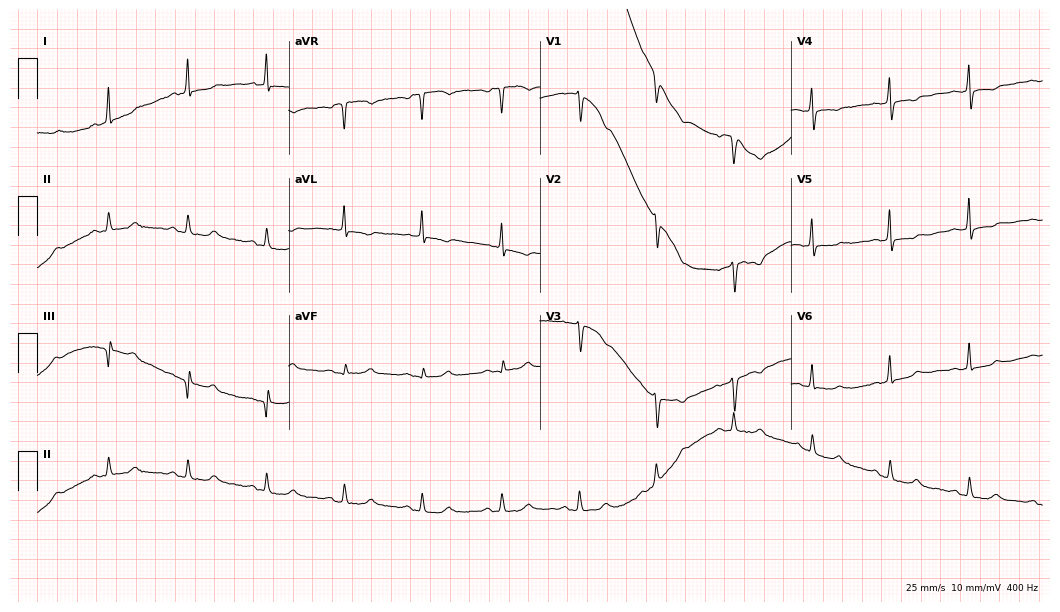
ECG — a 60-year-old male patient. Screened for six findings — first-degree AV block, right bundle branch block, left bundle branch block, sinus bradycardia, atrial fibrillation, sinus tachycardia — none is recorded. Other findings, if any, are not listed.